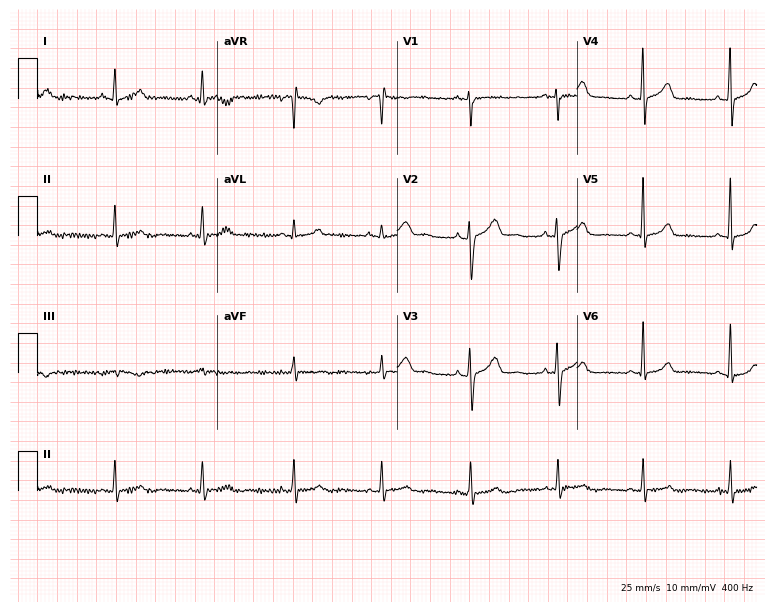
12-lead ECG from a woman, 29 years old. No first-degree AV block, right bundle branch block, left bundle branch block, sinus bradycardia, atrial fibrillation or sinus tachycardia recorded for this tracing. Other findings, if any, are not listed.